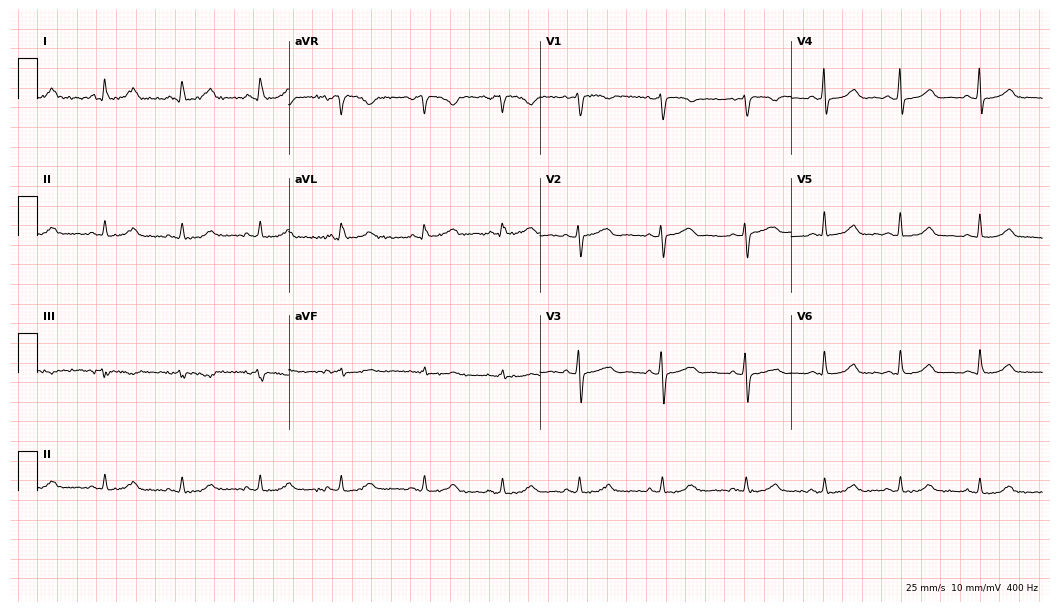
12-lead ECG (10.2-second recording at 400 Hz) from a female patient, 49 years old. Labelled as a normal ECG.